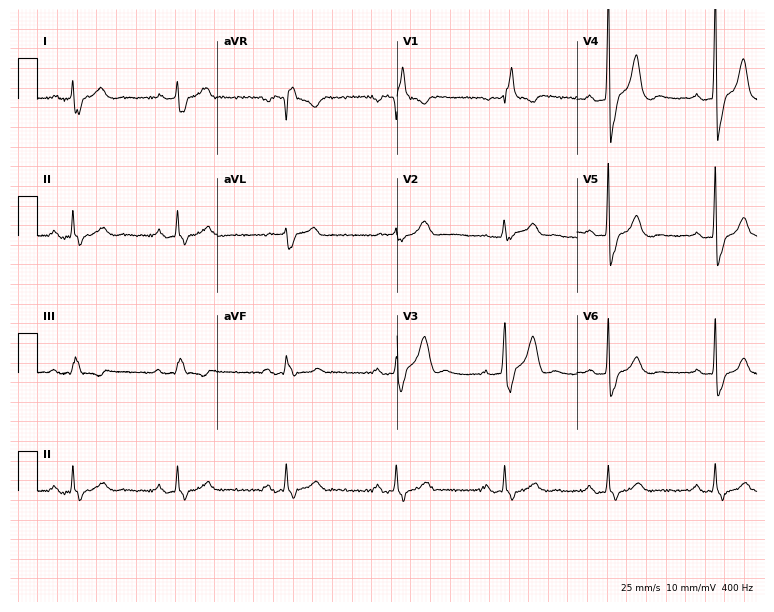
12-lead ECG from a man, 55 years old. Findings include right bundle branch block.